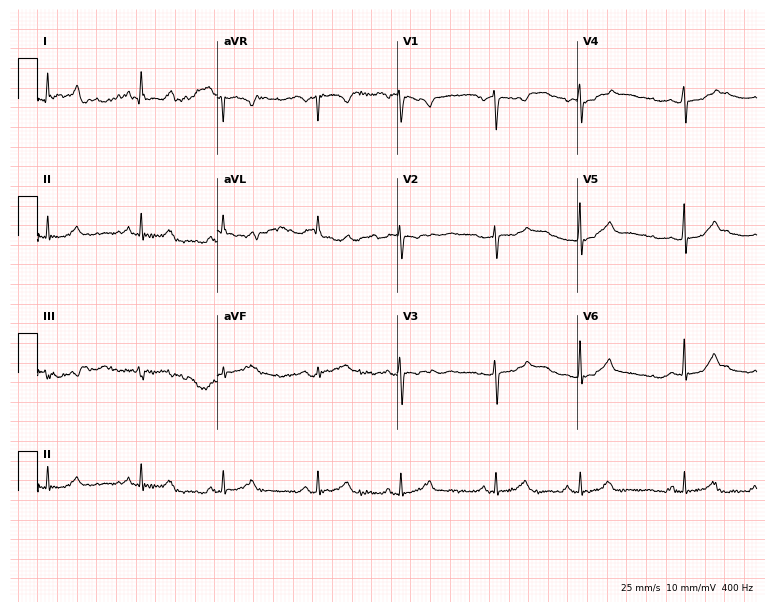
Standard 12-lead ECG recorded from a female patient, 35 years old (7.3-second recording at 400 Hz). None of these six findings is recorded: first-degree AV block, right bundle branch block, left bundle branch block, sinus bradycardia, atrial fibrillation, sinus tachycardia. Other findings, if any, are not listed.